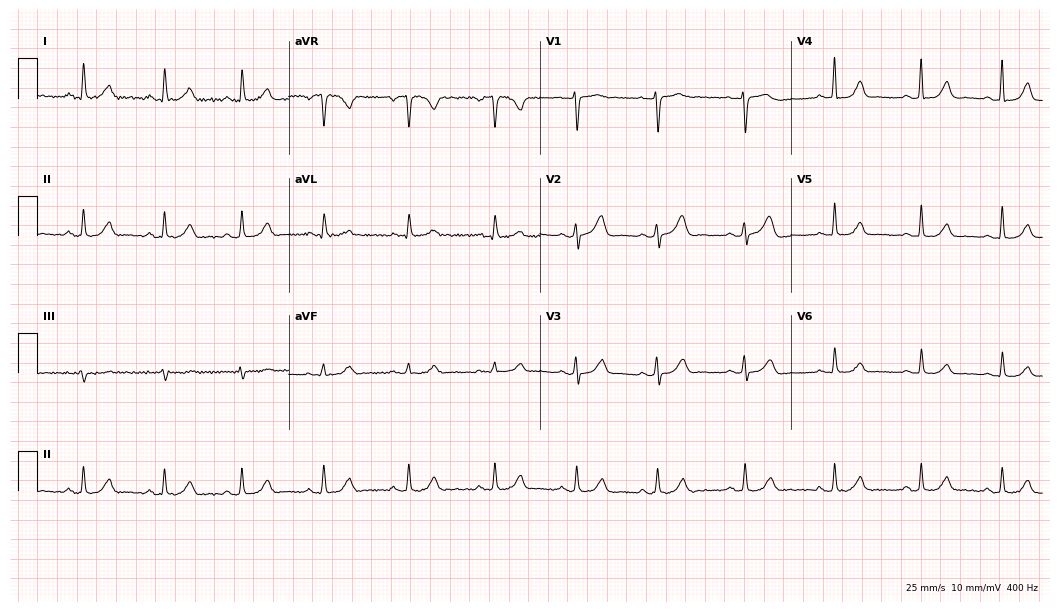
12-lead ECG from a 39-year-old female patient (10.2-second recording at 400 Hz). No first-degree AV block, right bundle branch block (RBBB), left bundle branch block (LBBB), sinus bradycardia, atrial fibrillation (AF) or sinus tachycardia recorded for this tracing. Findings outside these six are not listed.